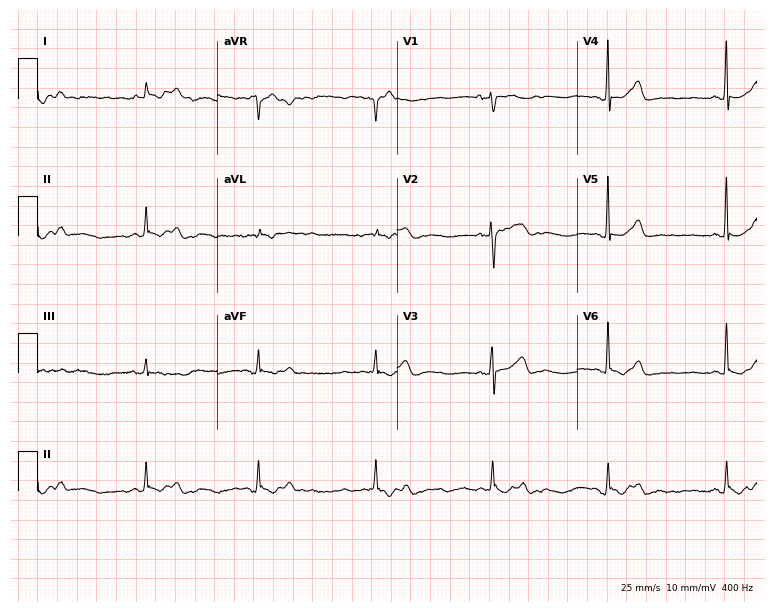
ECG (7.3-second recording at 400 Hz) — a female, 70 years old. Screened for six findings — first-degree AV block, right bundle branch block, left bundle branch block, sinus bradycardia, atrial fibrillation, sinus tachycardia — none is recorded.